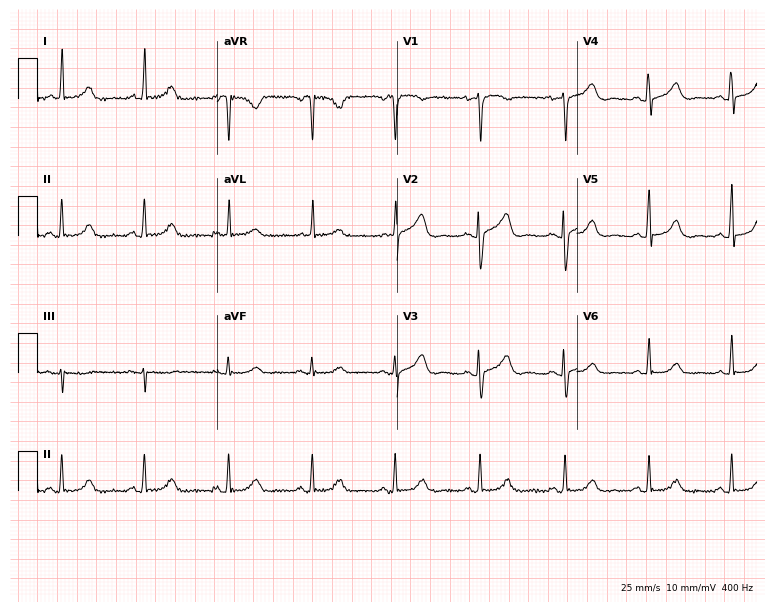
Standard 12-lead ECG recorded from a 68-year-old female. Read as a normal ECG.